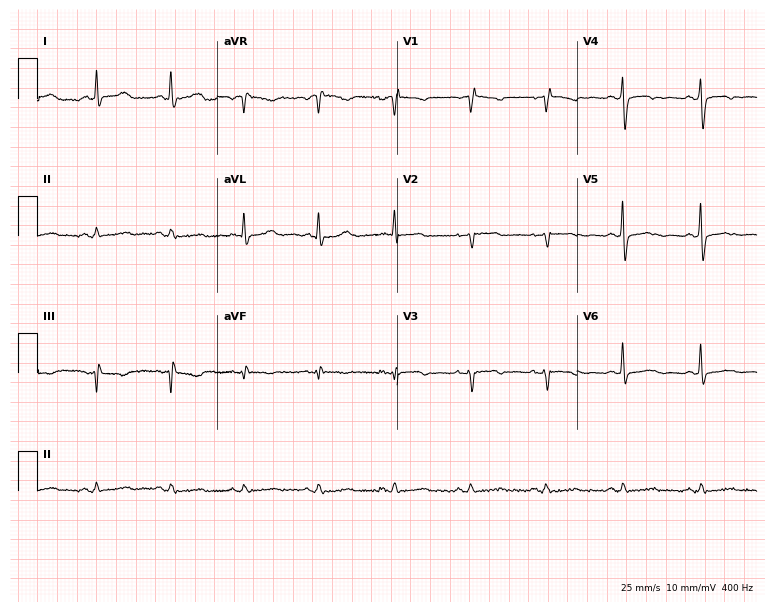
Electrocardiogram (7.3-second recording at 400 Hz), a 78-year-old female. Overall reading on record: normal ECG.